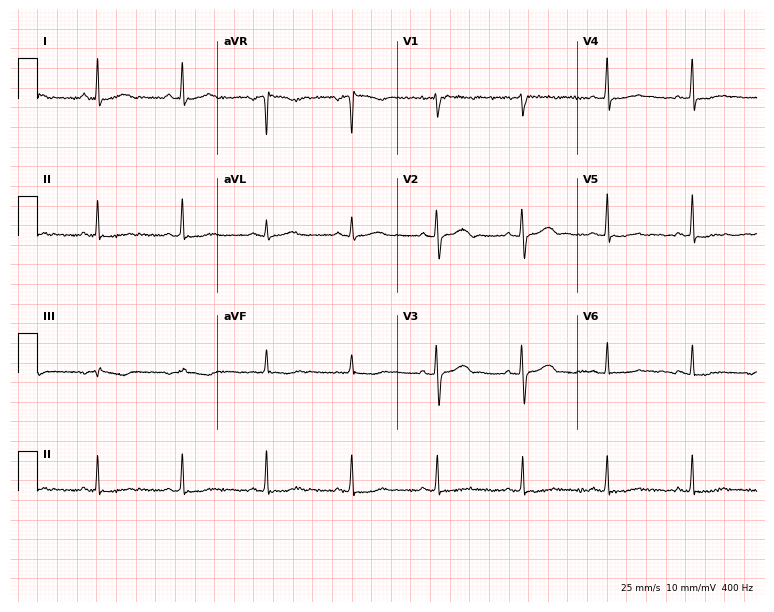
ECG — a 49-year-old female. Screened for six findings — first-degree AV block, right bundle branch block, left bundle branch block, sinus bradycardia, atrial fibrillation, sinus tachycardia — none is recorded. Only these six findings were labelled.